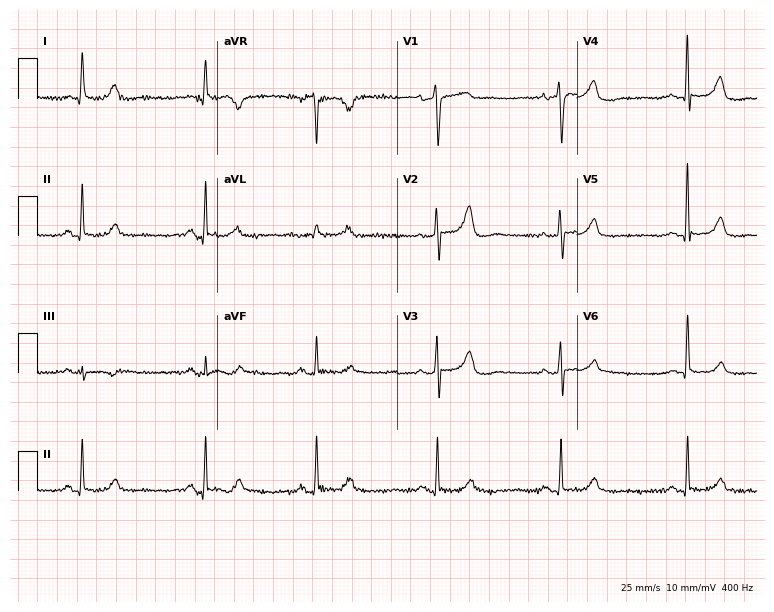
Electrocardiogram, a 65-year-old woman. Of the six screened findings (first-degree AV block, right bundle branch block, left bundle branch block, sinus bradycardia, atrial fibrillation, sinus tachycardia), none is recorded.